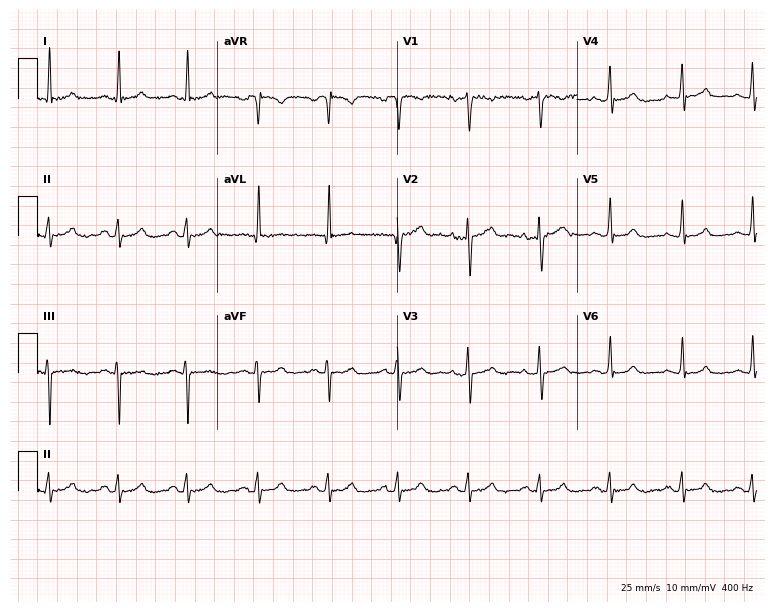
ECG (7.3-second recording at 400 Hz) — a 31-year-old female patient. Screened for six findings — first-degree AV block, right bundle branch block (RBBB), left bundle branch block (LBBB), sinus bradycardia, atrial fibrillation (AF), sinus tachycardia — none is recorded.